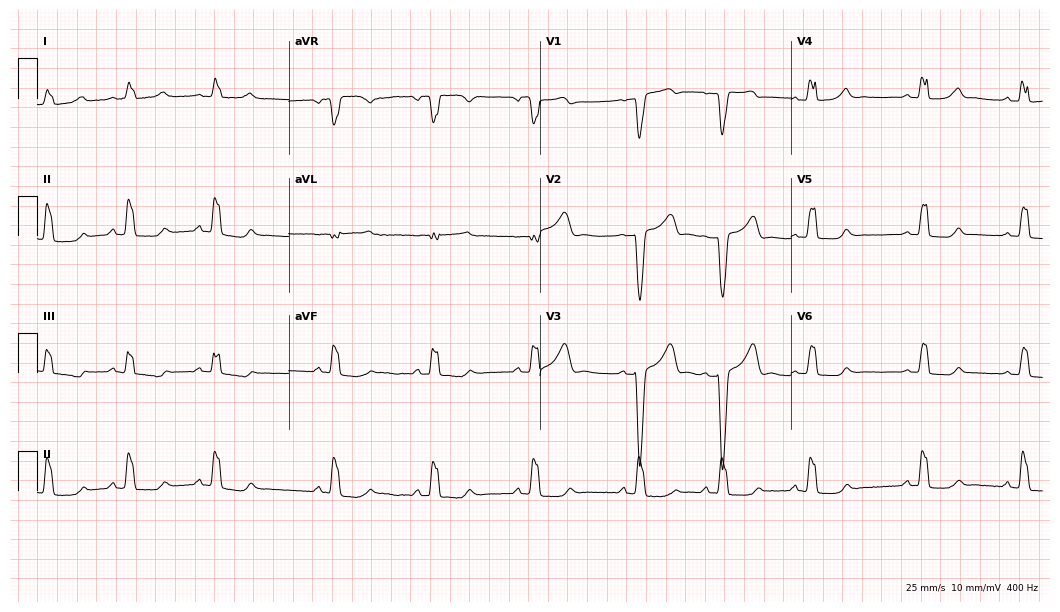
Standard 12-lead ECG recorded from a 35-year-old female (10.2-second recording at 400 Hz). The tracing shows left bundle branch block (LBBB).